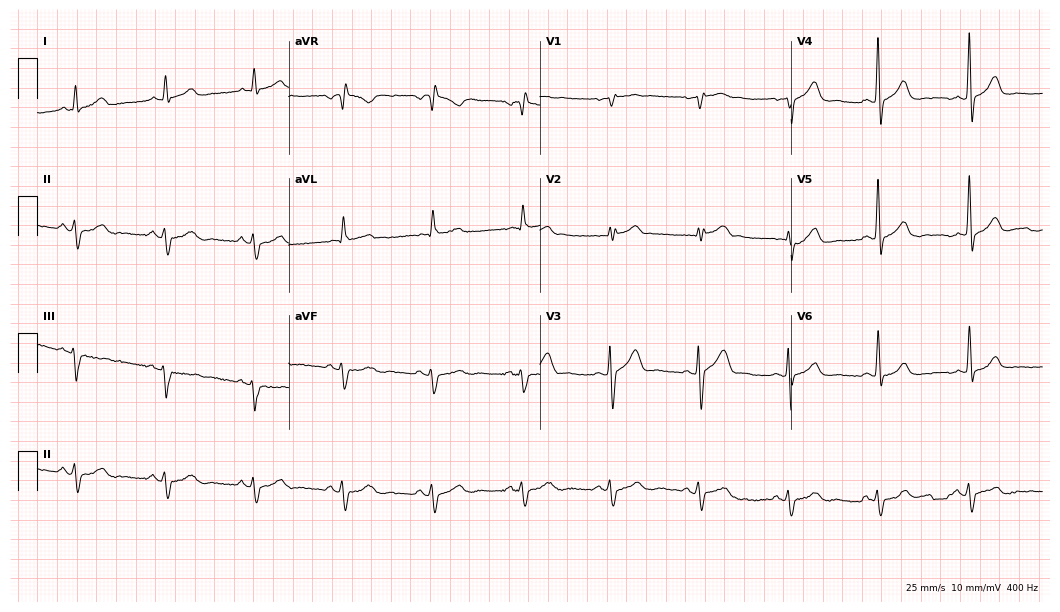
ECG (10.2-second recording at 400 Hz) — a 70-year-old male patient. Screened for six findings — first-degree AV block, right bundle branch block, left bundle branch block, sinus bradycardia, atrial fibrillation, sinus tachycardia — none is recorded. Only these six findings were labelled.